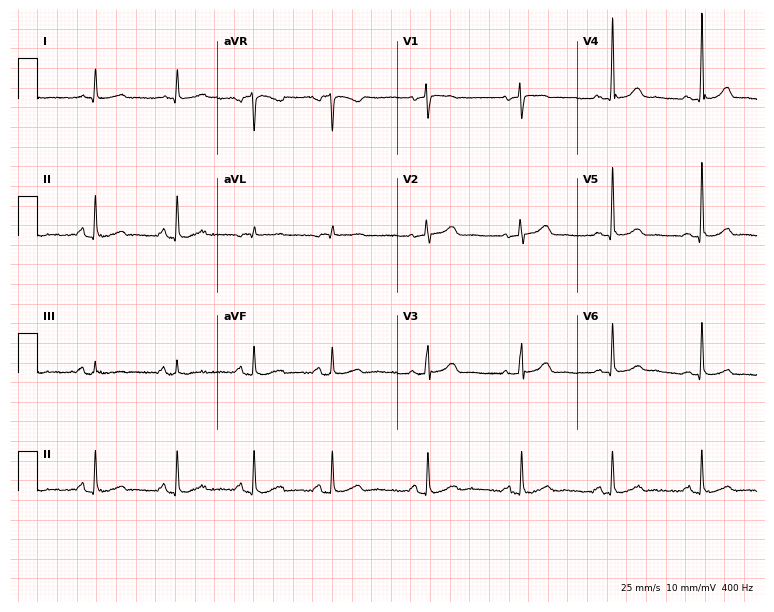
Electrocardiogram (7.3-second recording at 400 Hz), a 52-year-old woman. Overall reading on record: normal ECG.